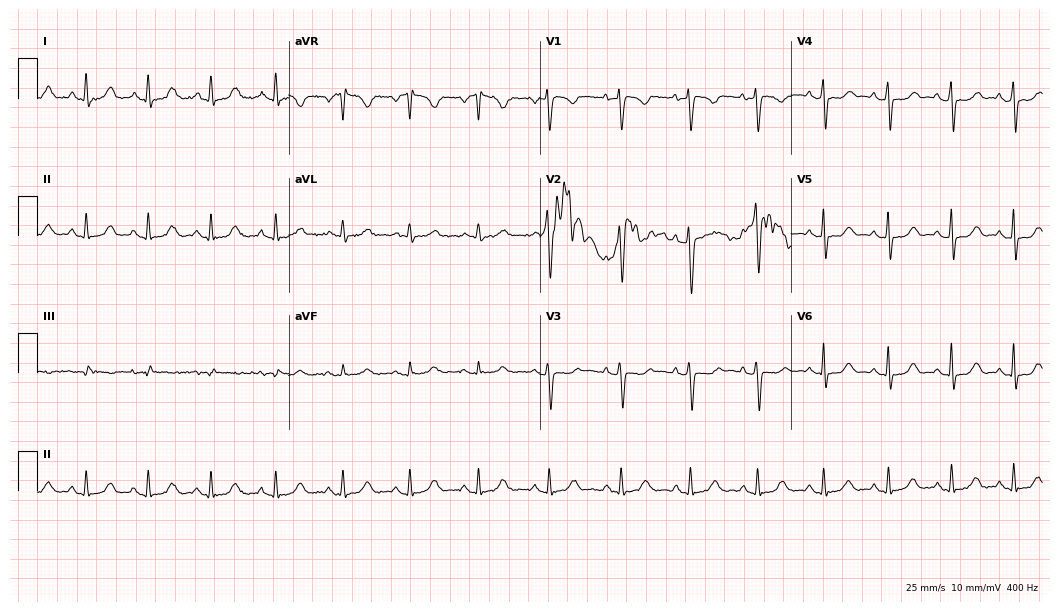
12-lead ECG from a woman, 48 years old (10.2-second recording at 400 Hz). No first-degree AV block, right bundle branch block, left bundle branch block, sinus bradycardia, atrial fibrillation or sinus tachycardia recorded for this tracing. Other findings, if any, are not listed.